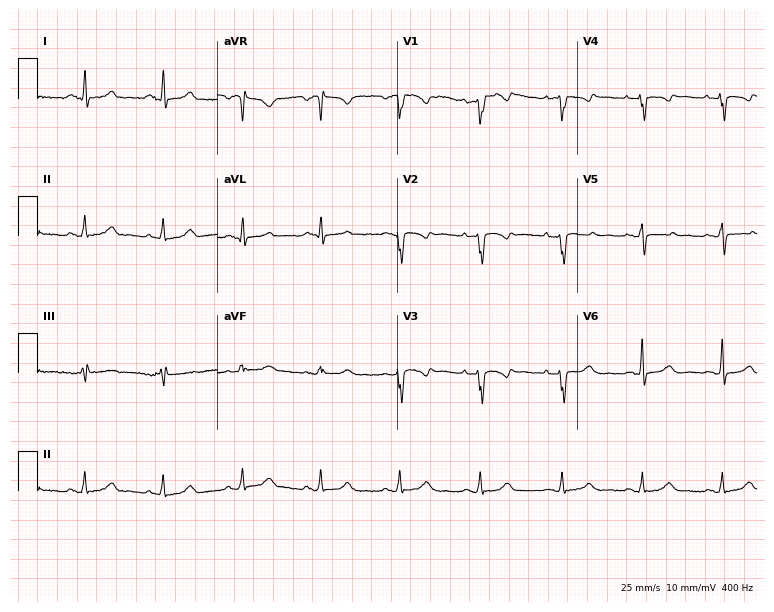
Electrocardiogram (7.3-second recording at 400 Hz), a 41-year-old female. Of the six screened findings (first-degree AV block, right bundle branch block, left bundle branch block, sinus bradycardia, atrial fibrillation, sinus tachycardia), none is recorded.